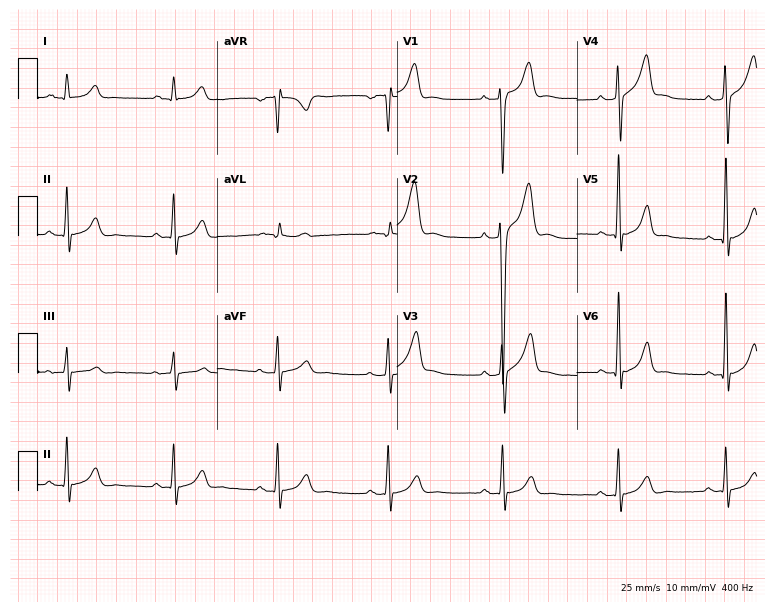
Electrocardiogram (7.3-second recording at 400 Hz), a 32-year-old man. Of the six screened findings (first-degree AV block, right bundle branch block, left bundle branch block, sinus bradycardia, atrial fibrillation, sinus tachycardia), none is recorded. Other findings, if any, are not listed.